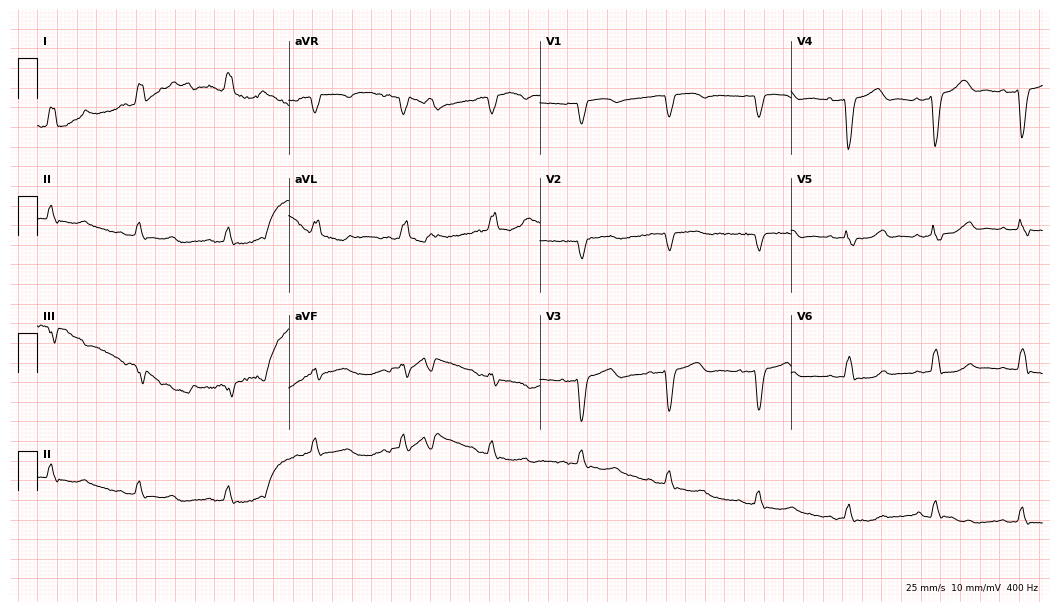
ECG (10.2-second recording at 400 Hz) — an 80-year-old female patient. Findings include left bundle branch block.